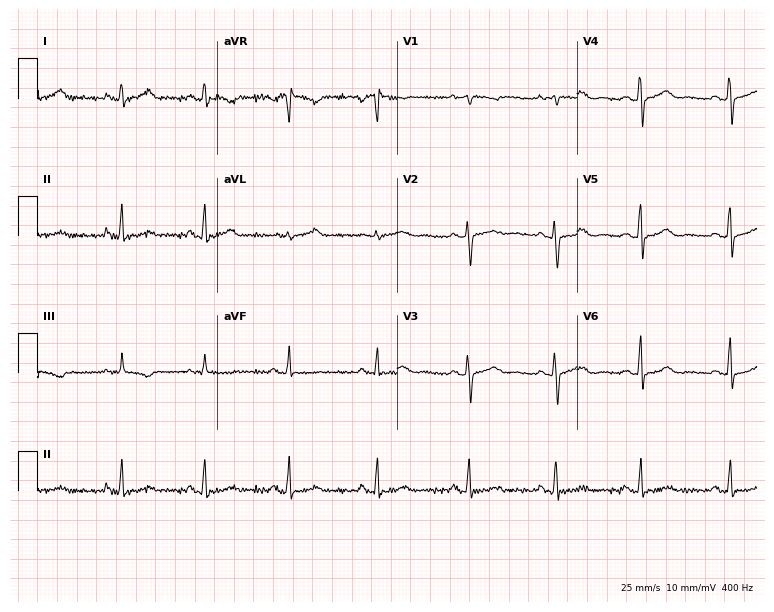
ECG (7.3-second recording at 400 Hz) — a 33-year-old woman. Screened for six findings — first-degree AV block, right bundle branch block, left bundle branch block, sinus bradycardia, atrial fibrillation, sinus tachycardia — none is recorded. Other findings, if any, are not listed.